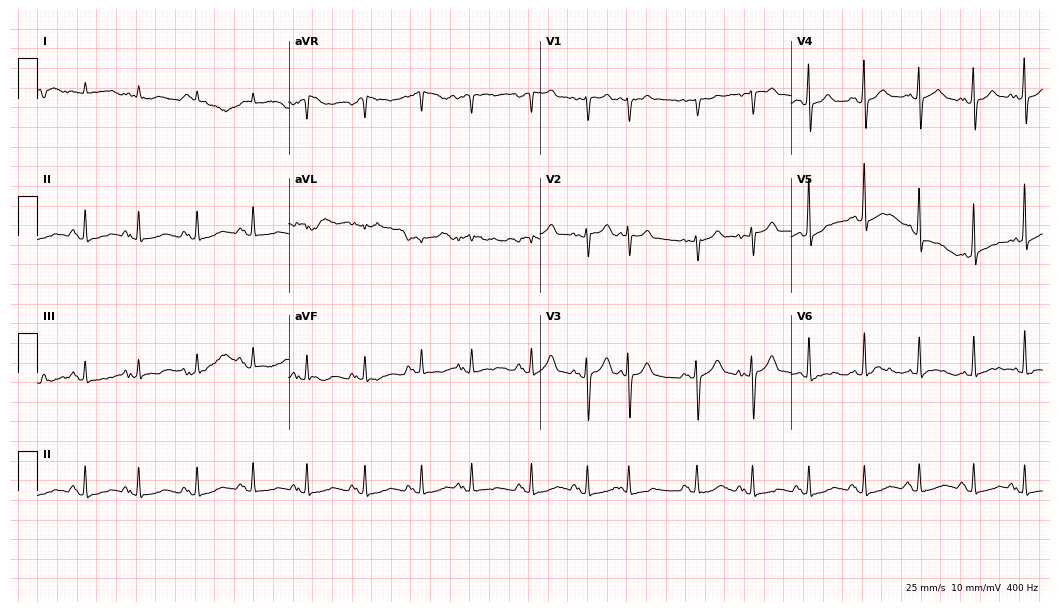
Electrocardiogram, an 84-year-old male. Interpretation includes sinus tachycardia (a sinus rate of 100 beats per minute or more).